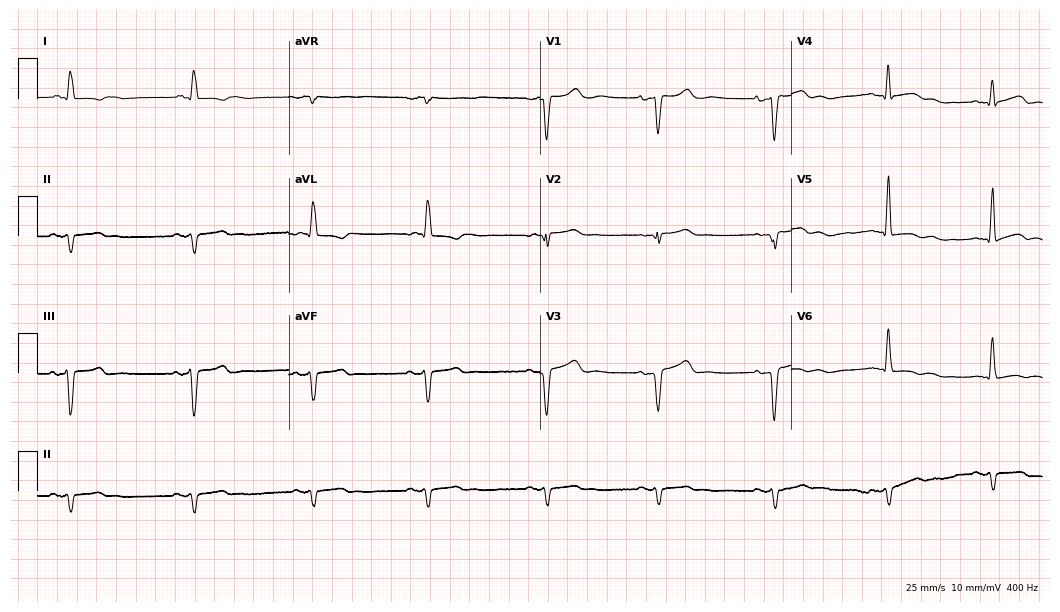
Resting 12-lead electrocardiogram (10.2-second recording at 400 Hz). Patient: a 77-year-old female. None of these six findings is recorded: first-degree AV block, right bundle branch block, left bundle branch block, sinus bradycardia, atrial fibrillation, sinus tachycardia.